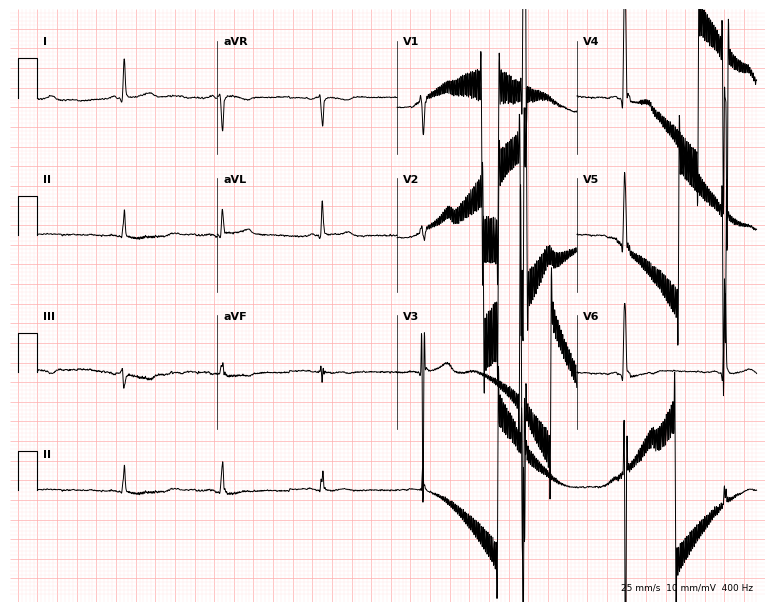
12-lead ECG from a 54-year-old male. No first-degree AV block, right bundle branch block, left bundle branch block, sinus bradycardia, atrial fibrillation or sinus tachycardia recorded for this tracing.